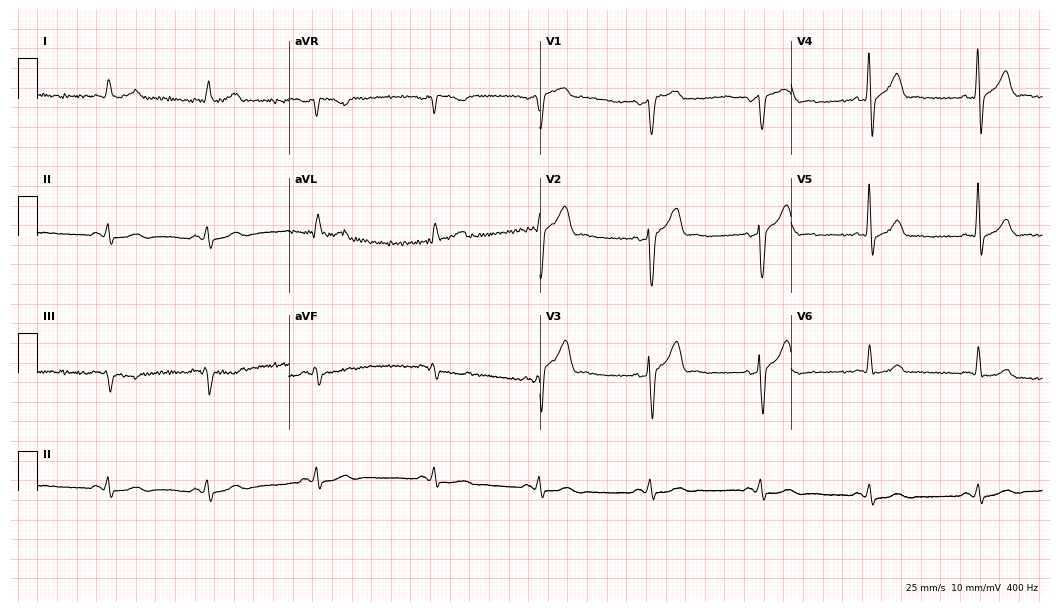
Resting 12-lead electrocardiogram (10.2-second recording at 400 Hz). Patient: a 61-year-old male. None of these six findings is recorded: first-degree AV block, right bundle branch block, left bundle branch block, sinus bradycardia, atrial fibrillation, sinus tachycardia.